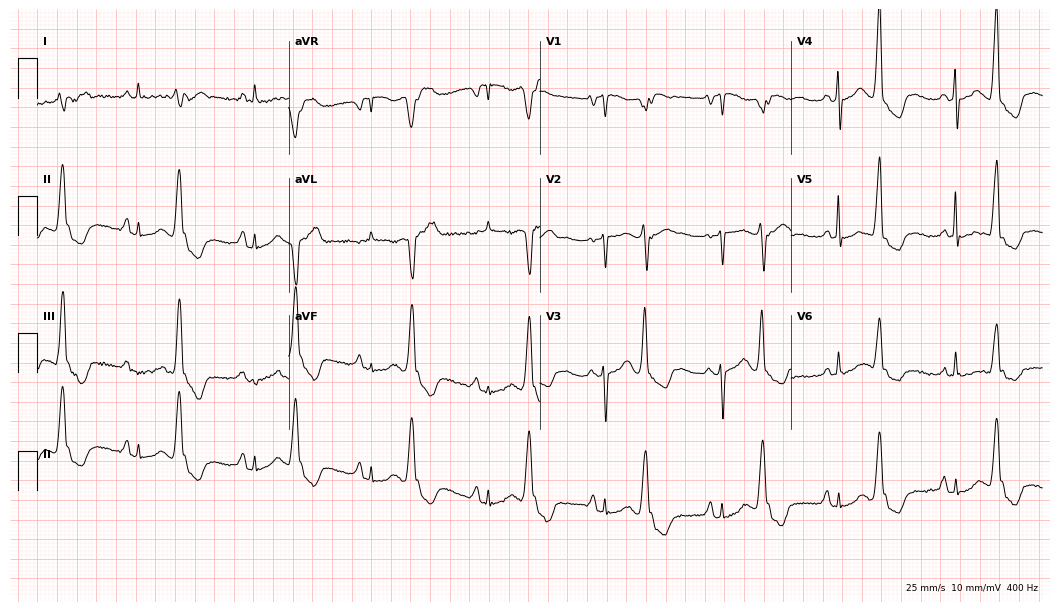
12-lead ECG (10.2-second recording at 400 Hz) from a female, 83 years old. Screened for six findings — first-degree AV block, right bundle branch block, left bundle branch block, sinus bradycardia, atrial fibrillation, sinus tachycardia — none is recorded.